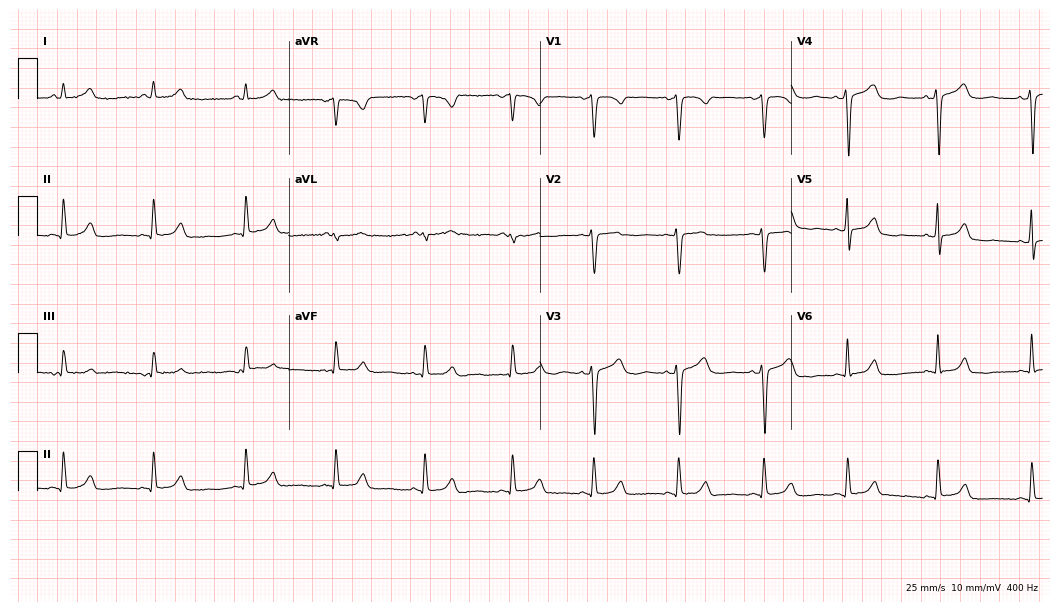
Resting 12-lead electrocardiogram (10.2-second recording at 400 Hz). Patient: a female, 39 years old. None of these six findings is recorded: first-degree AV block, right bundle branch block, left bundle branch block, sinus bradycardia, atrial fibrillation, sinus tachycardia. Other findings, if any, are not listed.